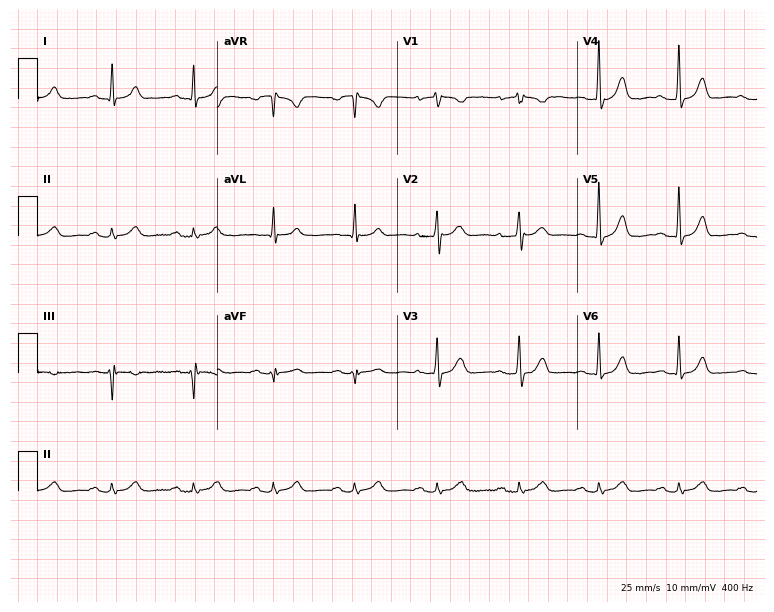
Standard 12-lead ECG recorded from a 53-year-old woman. Read as a normal ECG.